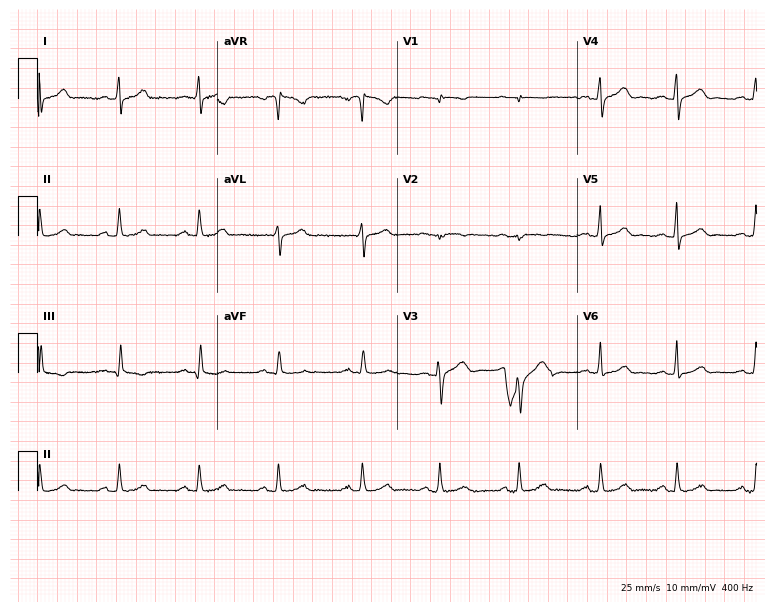
Resting 12-lead electrocardiogram. Patient: a male, 26 years old. Read as a normal ECG.